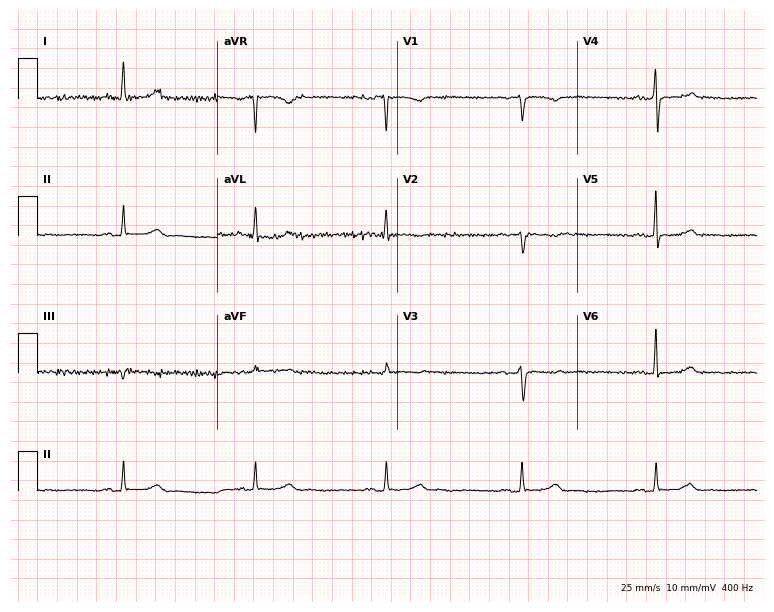
12-lead ECG from a 65-year-old female (7.3-second recording at 400 Hz). Shows sinus bradycardia (a sinus rate of 50 beats per minute or less).